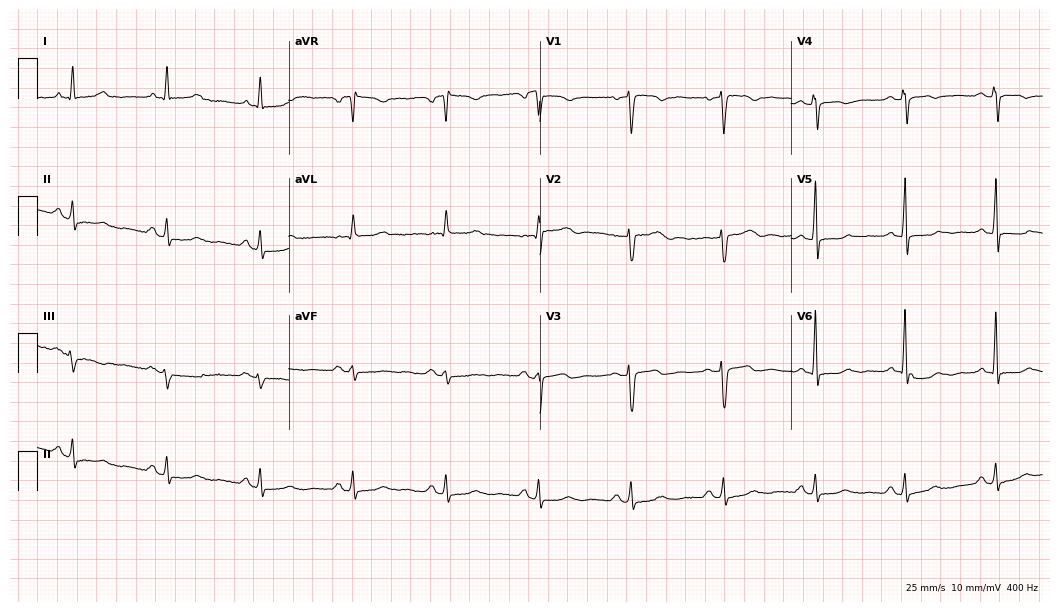
ECG (10.2-second recording at 400 Hz) — a female patient, 57 years old. Screened for six findings — first-degree AV block, right bundle branch block (RBBB), left bundle branch block (LBBB), sinus bradycardia, atrial fibrillation (AF), sinus tachycardia — none is recorded.